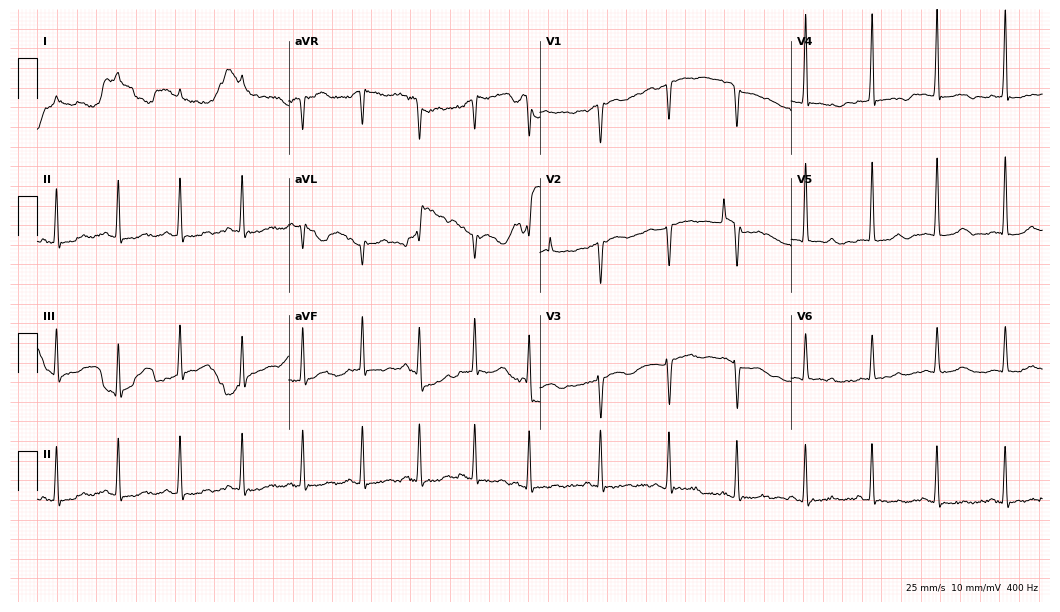
Resting 12-lead electrocardiogram (10.2-second recording at 400 Hz). Patient: a 79-year-old woman. None of these six findings is recorded: first-degree AV block, right bundle branch block, left bundle branch block, sinus bradycardia, atrial fibrillation, sinus tachycardia.